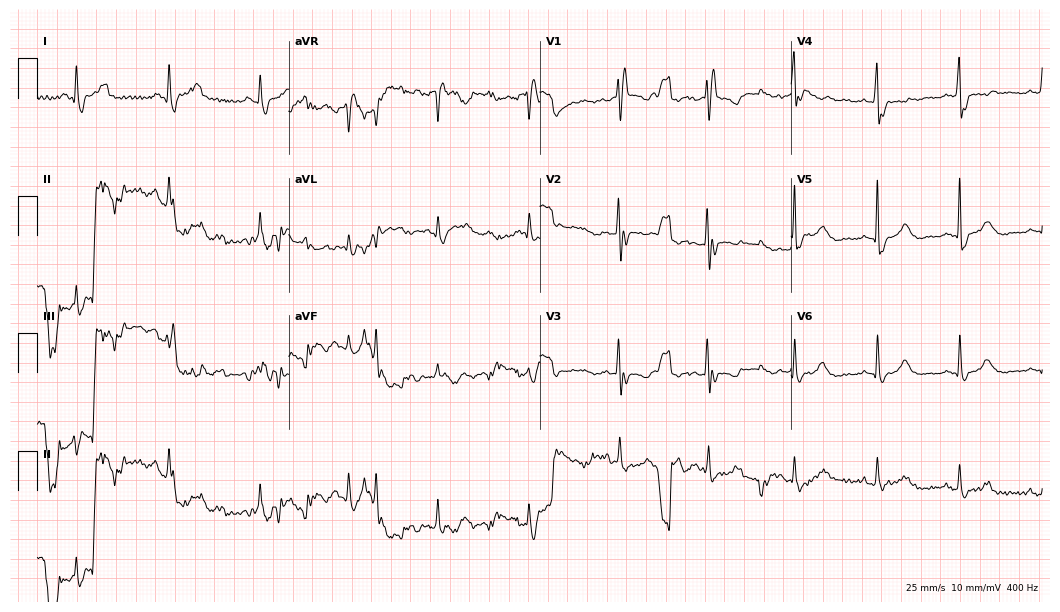
12-lead ECG from a man, 56 years old (10.2-second recording at 400 Hz). No first-degree AV block, right bundle branch block, left bundle branch block, sinus bradycardia, atrial fibrillation or sinus tachycardia recorded for this tracing. Findings outside these six are not listed.